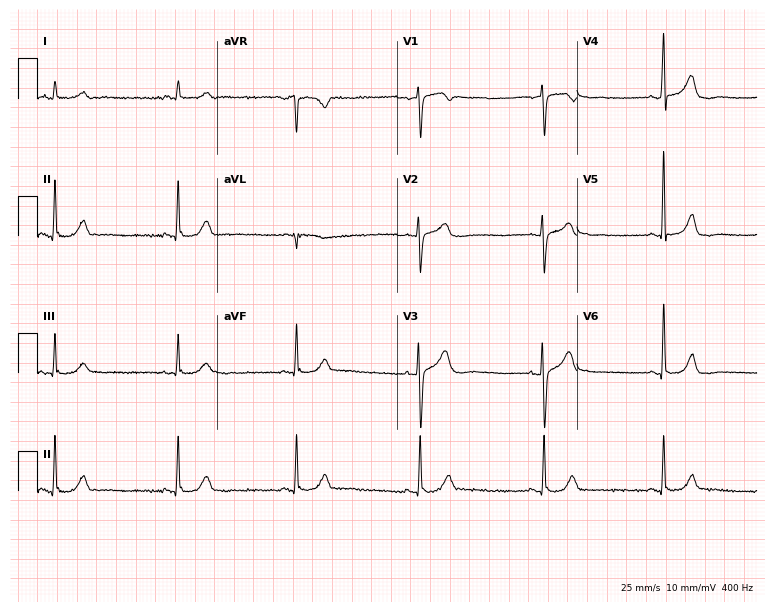
Standard 12-lead ECG recorded from a female patient, 59 years old (7.3-second recording at 400 Hz). The tracing shows sinus bradycardia (a sinus rate of 50 beats per minute or less).